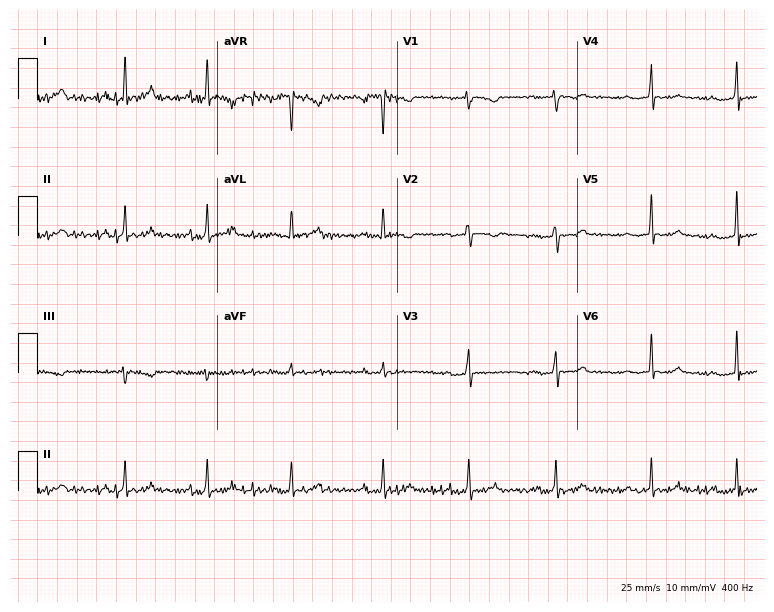
12-lead ECG (7.3-second recording at 400 Hz) from a 36-year-old female patient. Screened for six findings — first-degree AV block, right bundle branch block, left bundle branch block, sinus bradycardia, atrial fibrillation, sinus tachycardia — none is recorded. Findings outside these six are not listed.